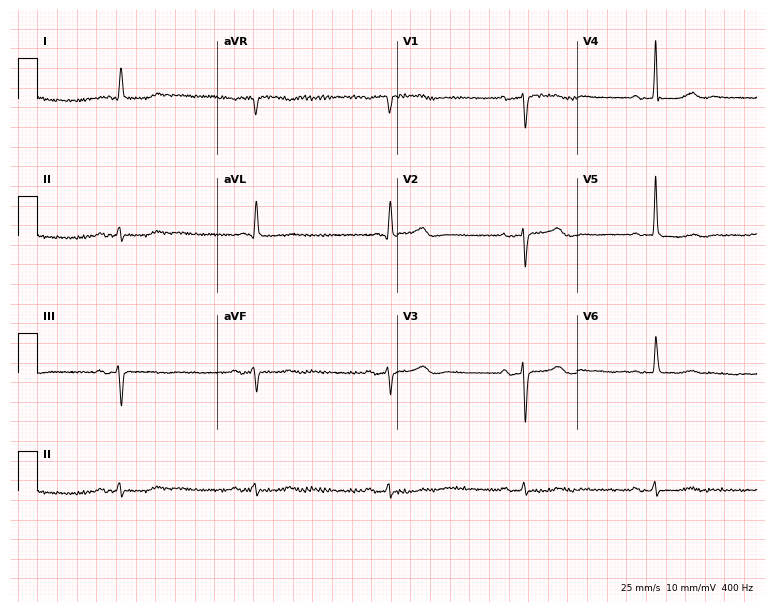
Electrocardiogram (7.3-second recording at 400 Hz), a woman, 85 years old. Of the six screened findings (first-degree AV block, right bundle branch block, left bundle branch block, sinus bradycardia, atrial fibrillation, sinus tachycardia), none is recorded.